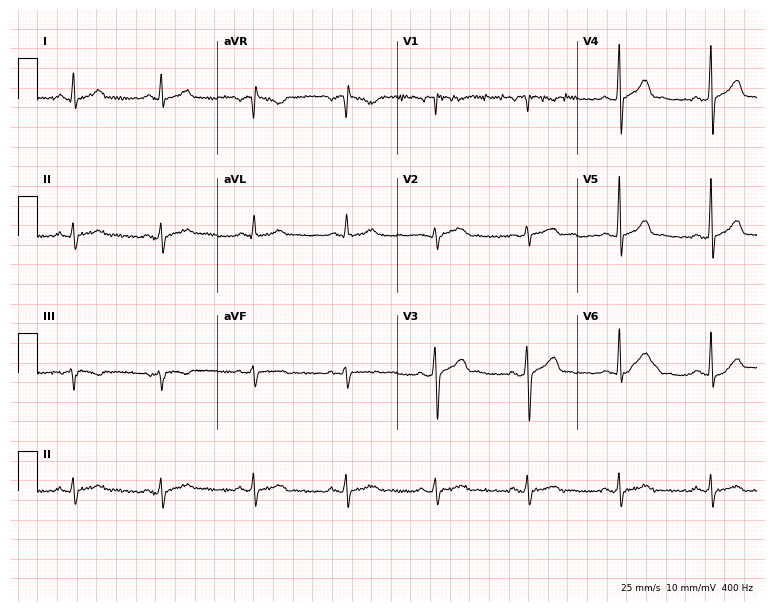
Resting 12-lead electrocardiogram. Patient: a 55-year-old male. Read as a normal ECG.